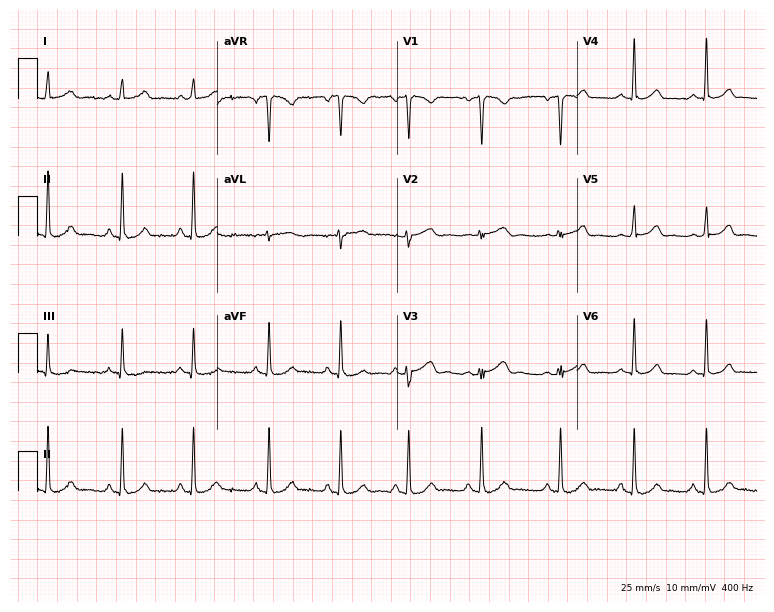
Electrocardiogram (7.3-second recording at 400 Hz), a woman, 19 years old. Overall reading on record: normal ECG.